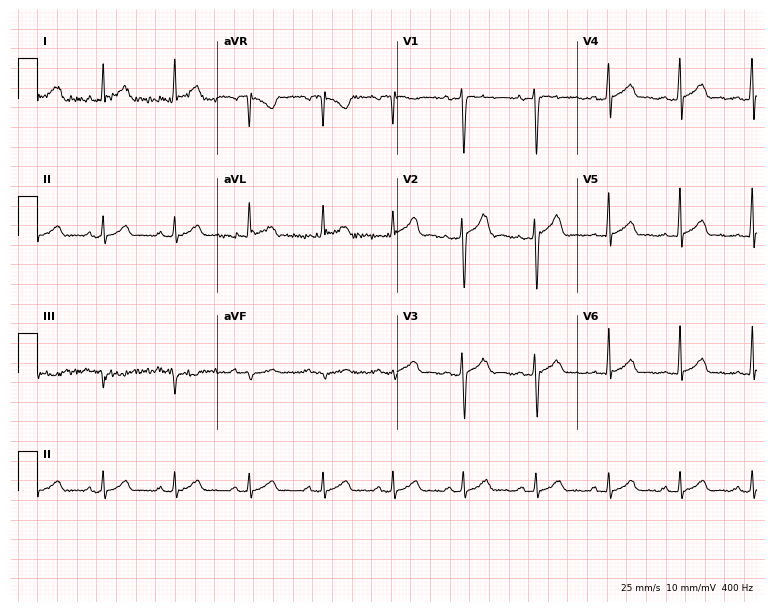
Standard 12-lead ECG recorded from a 22-year-old male patient. Read as a normal ECG.